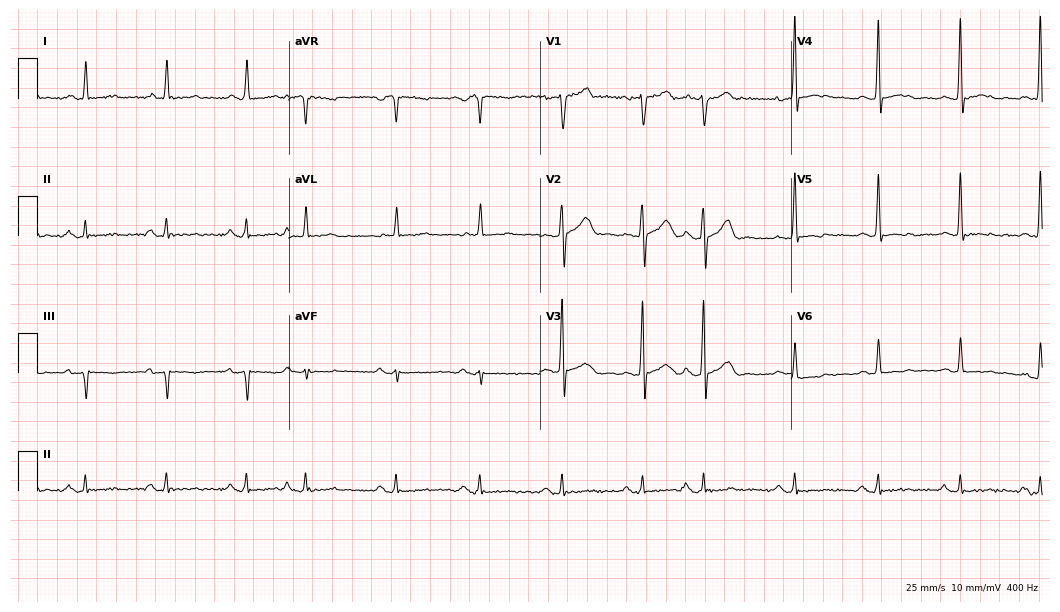
Standard 12-lead ECG recorded from a male patient, 64 years old. None of these six findings is recorded: first-degree AV block, right bundle branch block, left bundle branch block, sinus bradycardia, atrial fibrillation, sinus tachycardia. Other findings, if any, are not listed.